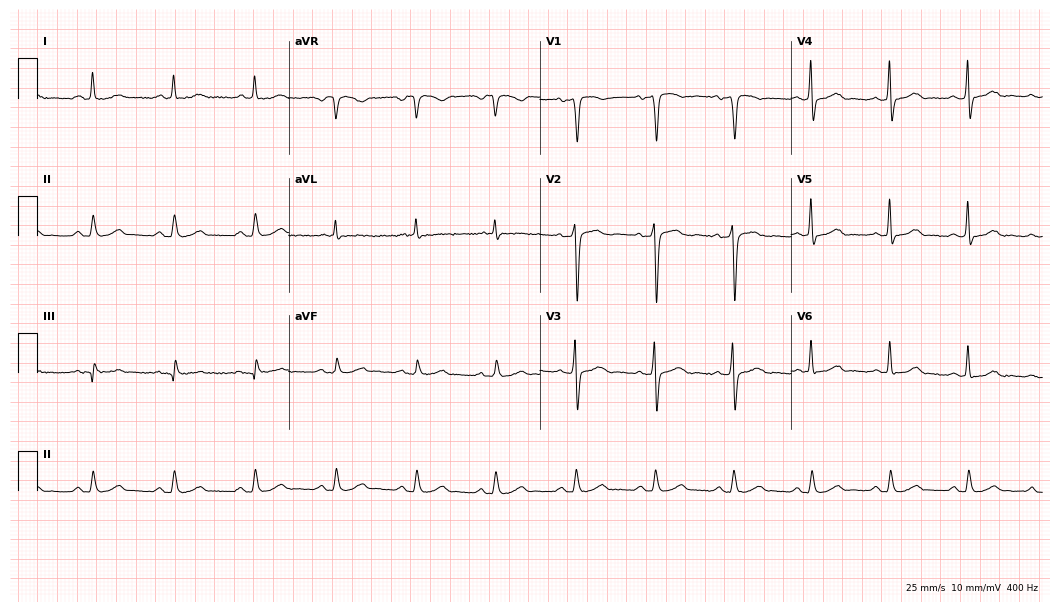
Resting 12-lead electrocardiogram. Patient: a 74-year-old man. Read as a normal ECG.